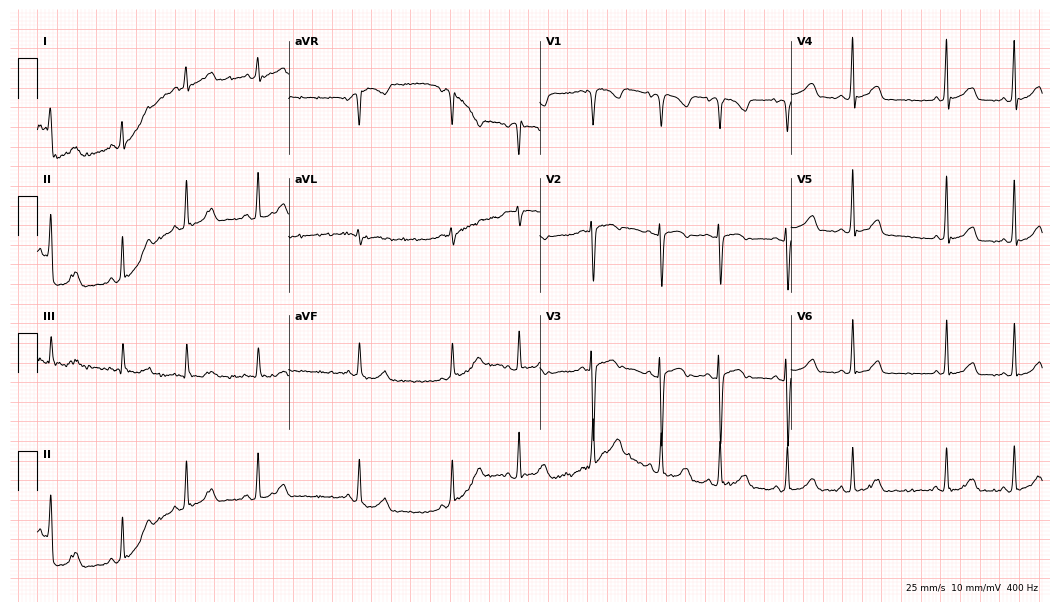
Electrocardiogram, a male patient, 38 years old. Overall reading on record: normal ECG.